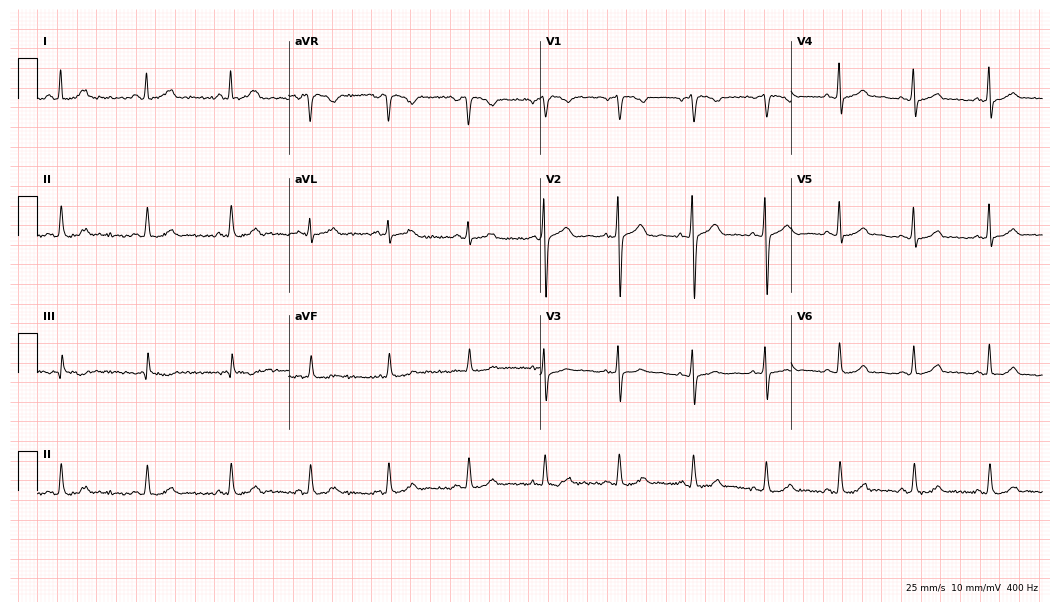
Electrocardiogram, a female, 47 years old. Overall reading on record: normal ECG.